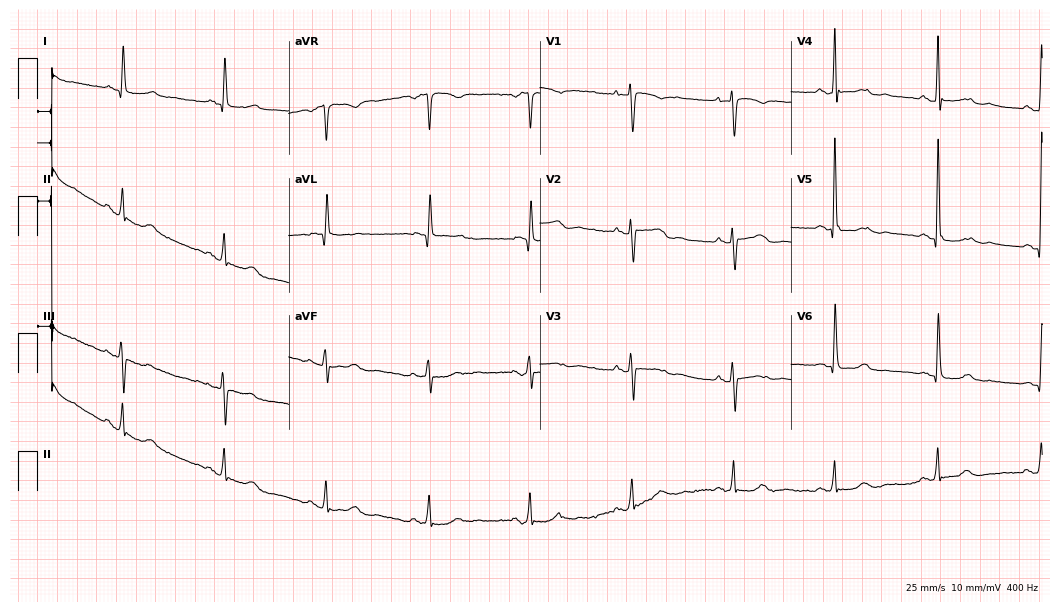
Standard 12-lead ECG recorded from a 68-year-old woman (10.2-second recording at 400 Hz). Read as a normal ECG.